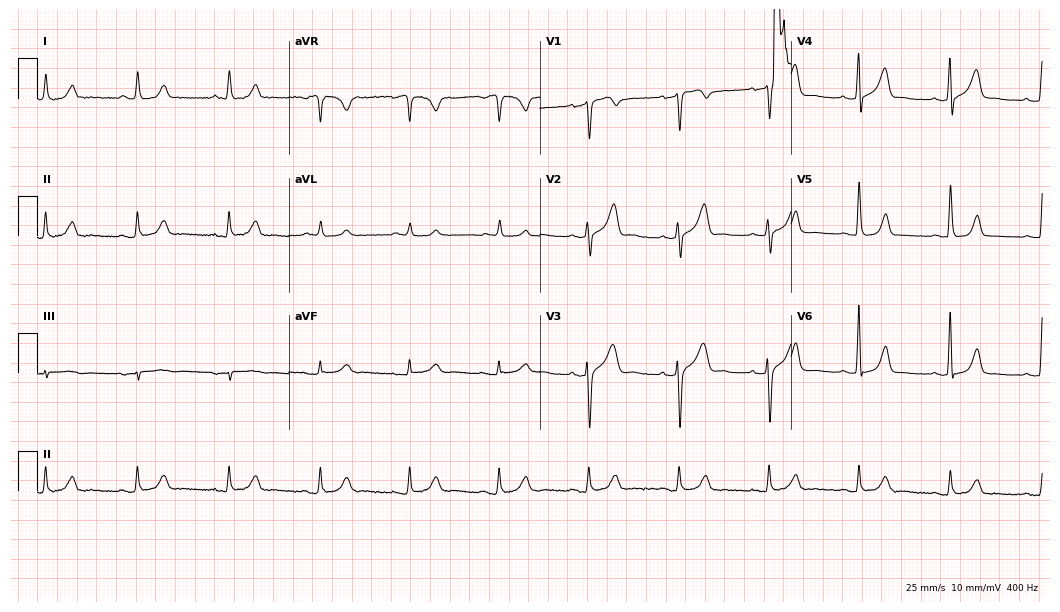
ECG — a 58-year-old male. Labelled as a normal ECG.